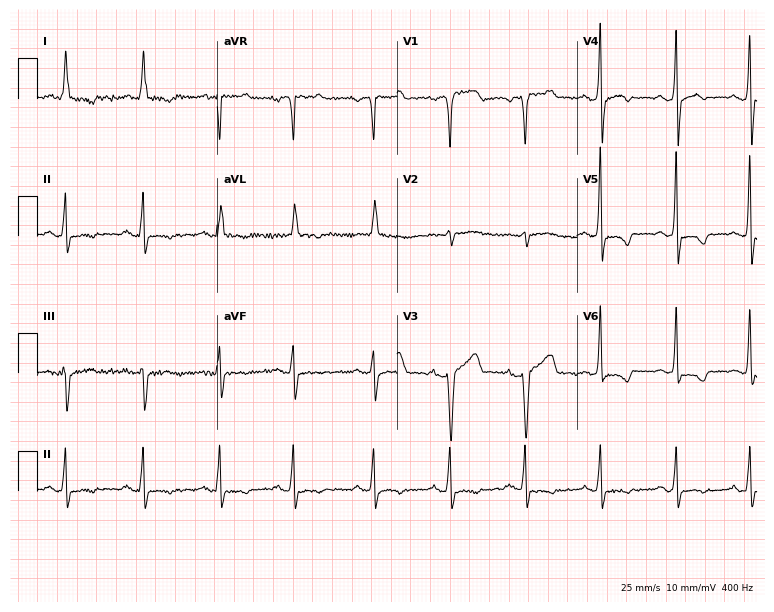
12-lead ECG (7.3-second recording at 400 Hz) from a man, 59 years old. Screened for six findings — first-degree AV block, right bundle branch block (RBBB), left bundle branch block (LBBB), sinus bradycardia, atrial fibrillation (AF), sinus tachycardia — none is recorded.